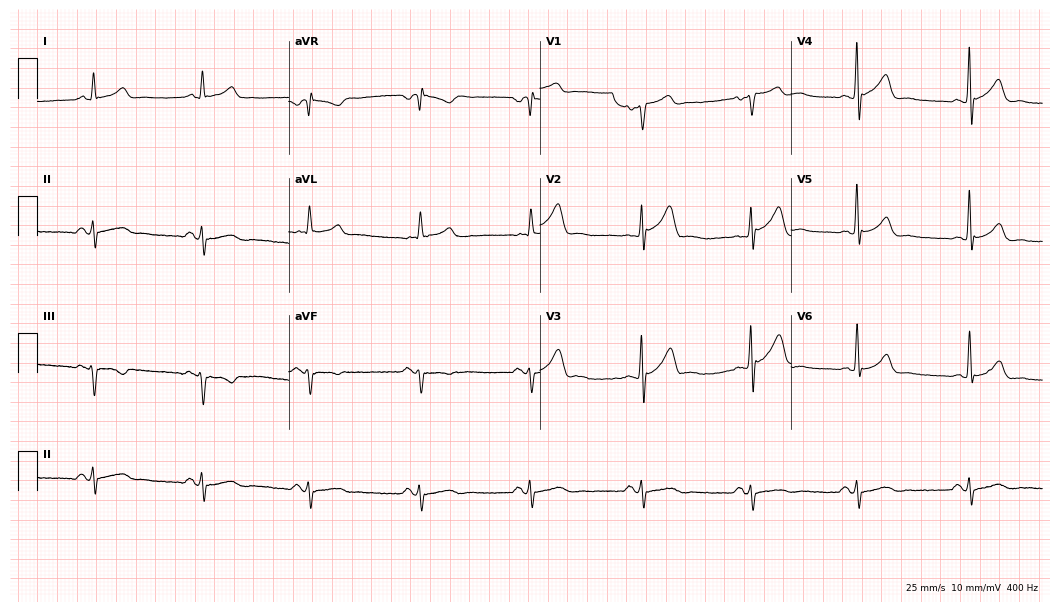
Resting 12-lead electrocardiogram (10.2-second recording at 400 Hz). Patient: a man, 68 years old. None of these six findings is recorded: first-degree AV block, right bundle branch block, left bundle branch block, sinus bradycardia, atrial fibrillation, sinus tachycardia.